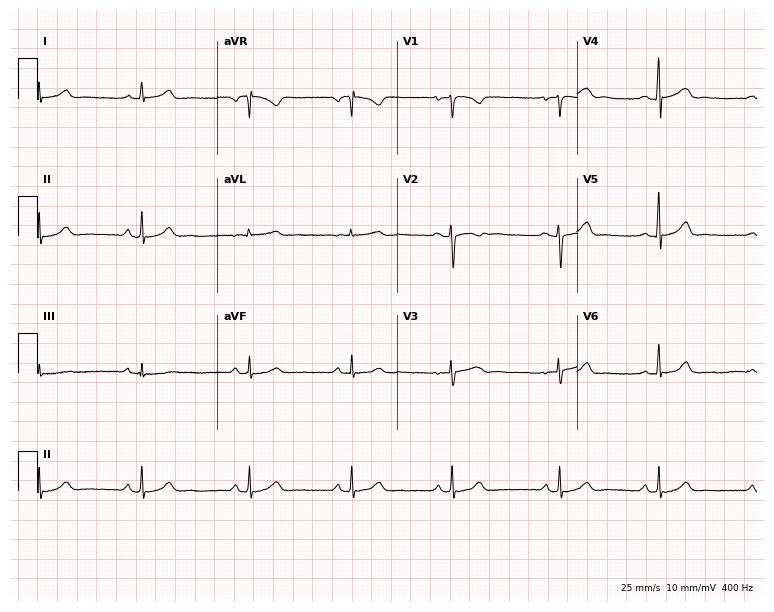
12-lead ECG from a female, 31 years old. Recorded interpretation: within normal limits.